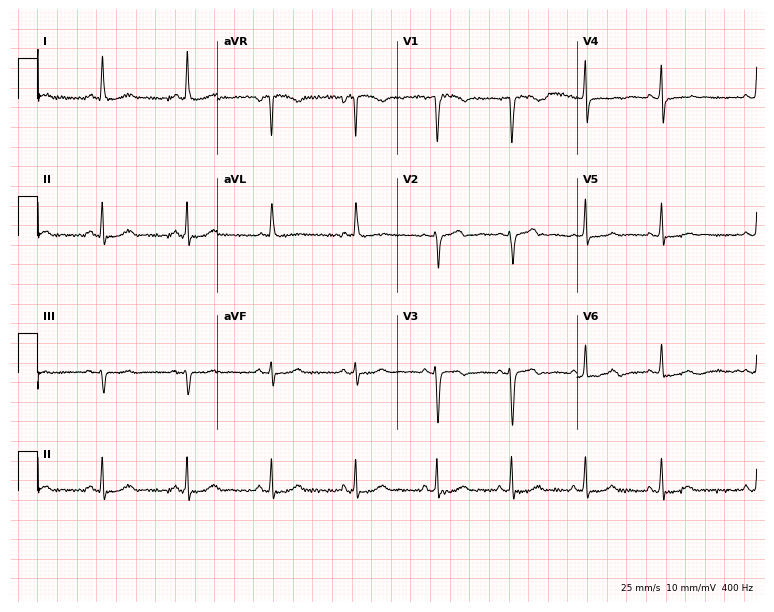
12-lead ECG from a 68-year-old female (7.3-second recording at 400 Hz). No first-degree AV block, right bundle branch block, left bundle branch block, sinus bradycardia, atrial fibrillation or sinus tachycardia recorded for this tracing.